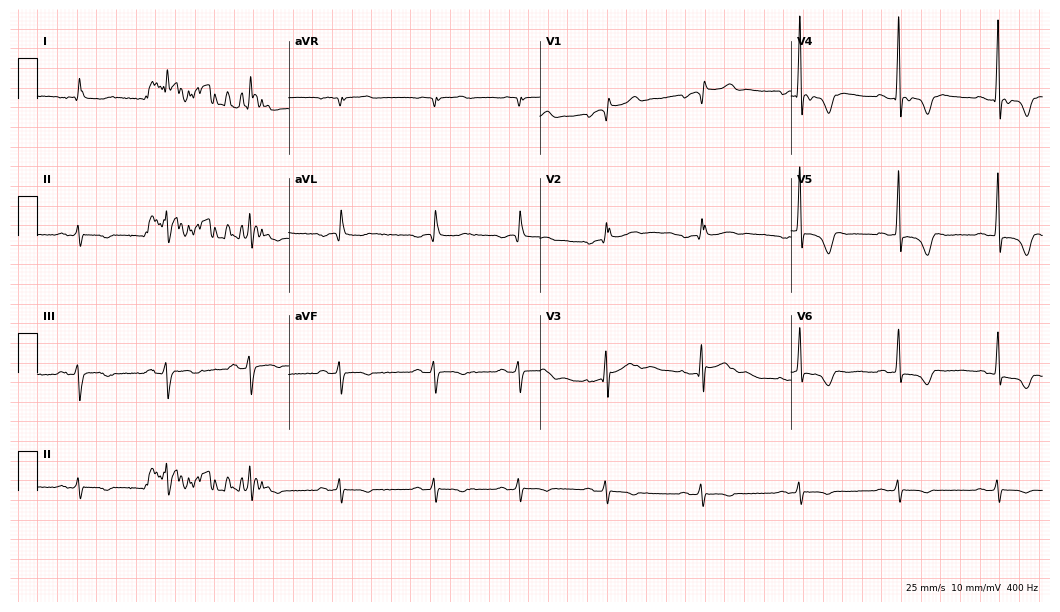
Resting 12-lead electrocardiogram. Patient: a male, 54 years old. None of these six findings is recorded: first-degree AV block, right bundle branch block (RBBB), left bundle branch block (LBBB), sinus bradycardia, atrial fibrillation (AF), sinus tachycardia.